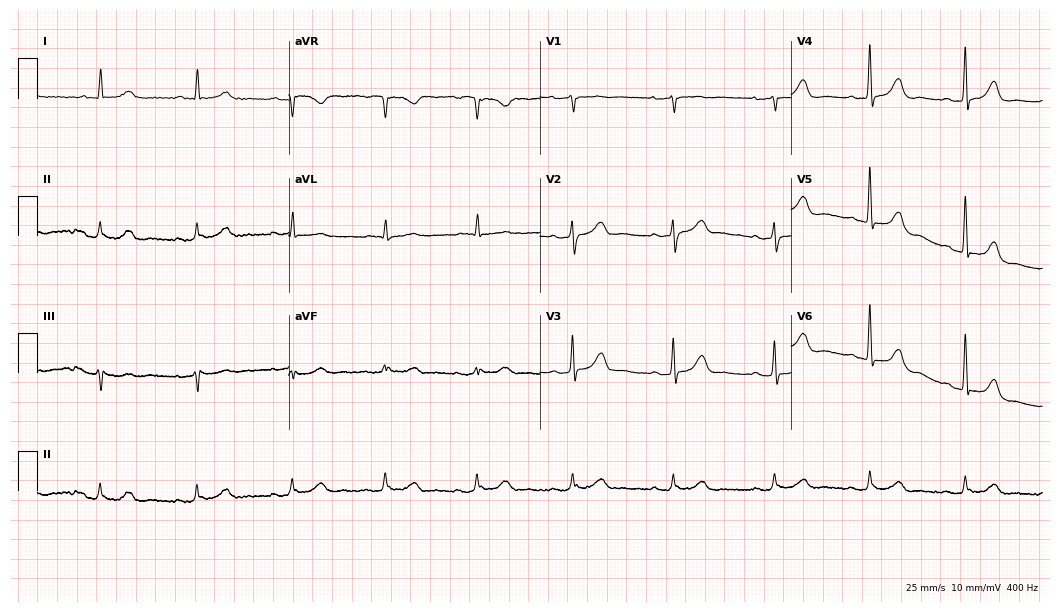
Resting 12-lead electrocardiogram (10.2-second recording at 400 Hz). Patient: a man, 85 years old. None of these six findings is recorded: first-degree AV block, right bundle branch block, left bundle branch block, sinus bradycardia, atrial fibrillation, sinus tachycardia. Only these six findings were labelled.